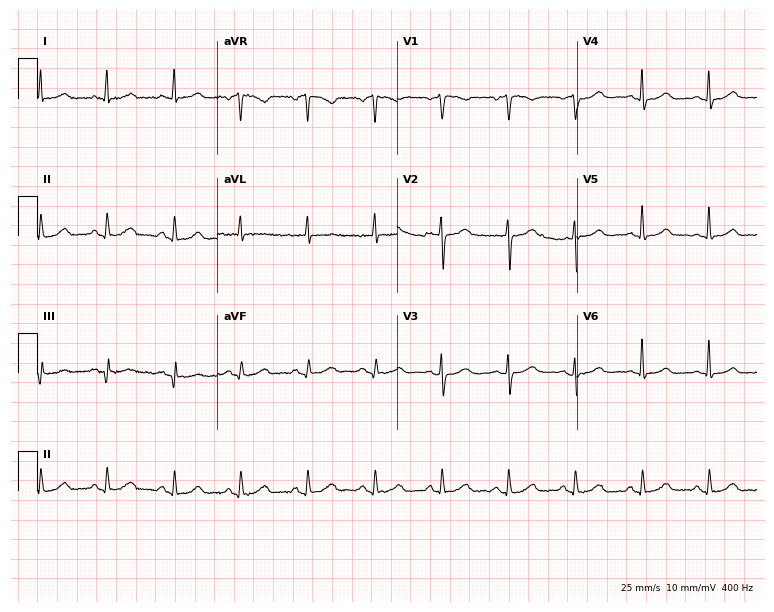
12-lead ECG from a female, 57 years old (7.3-second recording at 400 Hz). Recorded interpretation: within normal limits.